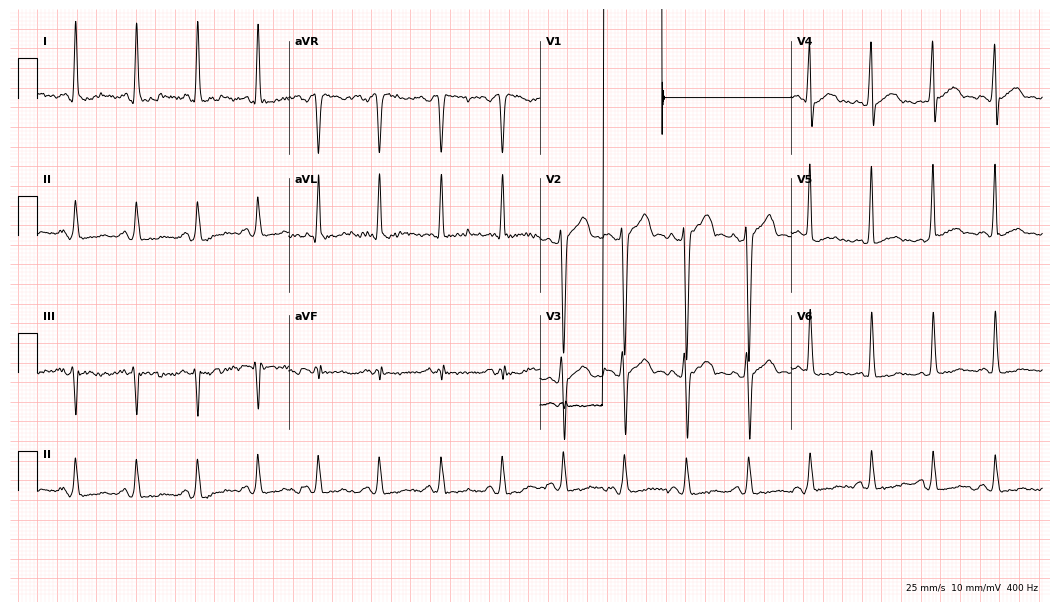
Standard 12-lead ECG recorded from a 41-year-old man. None of these six findings is recorded: first-degree AV block, right bundle branch block (RBBB), left bundle branch block (LBBB), sinus bradycardia, atrial fibrillation (AF), sinus tachycardia.